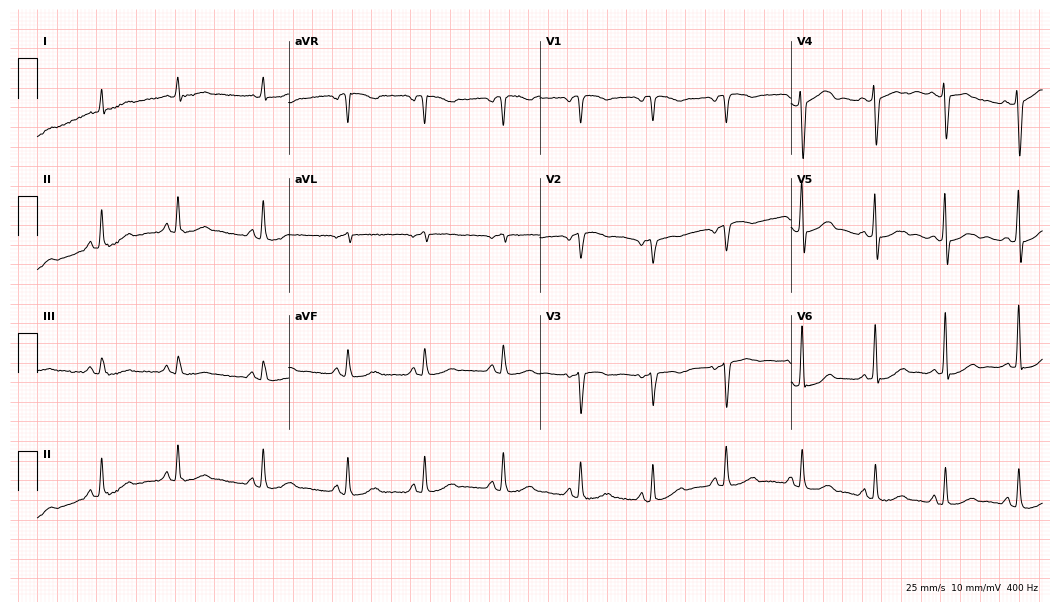
Electrocardiogram (10.2-second recording at 400 Hz), a woman, 74 years old. Of the six screened findings (first-degree AV block, right bundle branch block (RBBB), left bundle branch block (LBBB), sinus bradycardia, atrial fibrillation (AF), sinus tachycardia), none is recorded. Only these six findings were labelled.